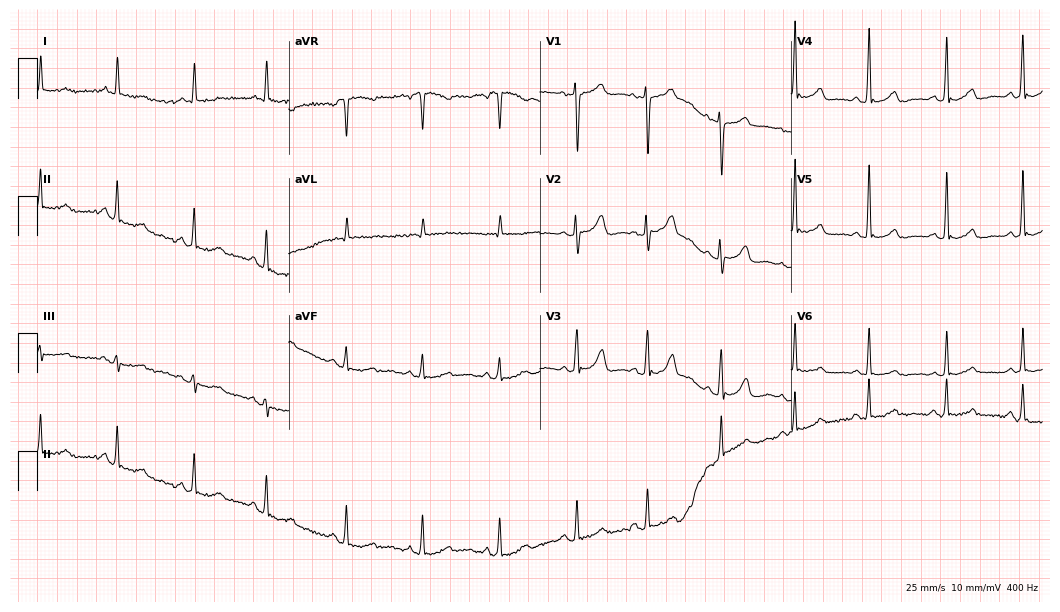
12-lead ECG from a female patient, 66 years old. Recorded interpretation: within normal limits.